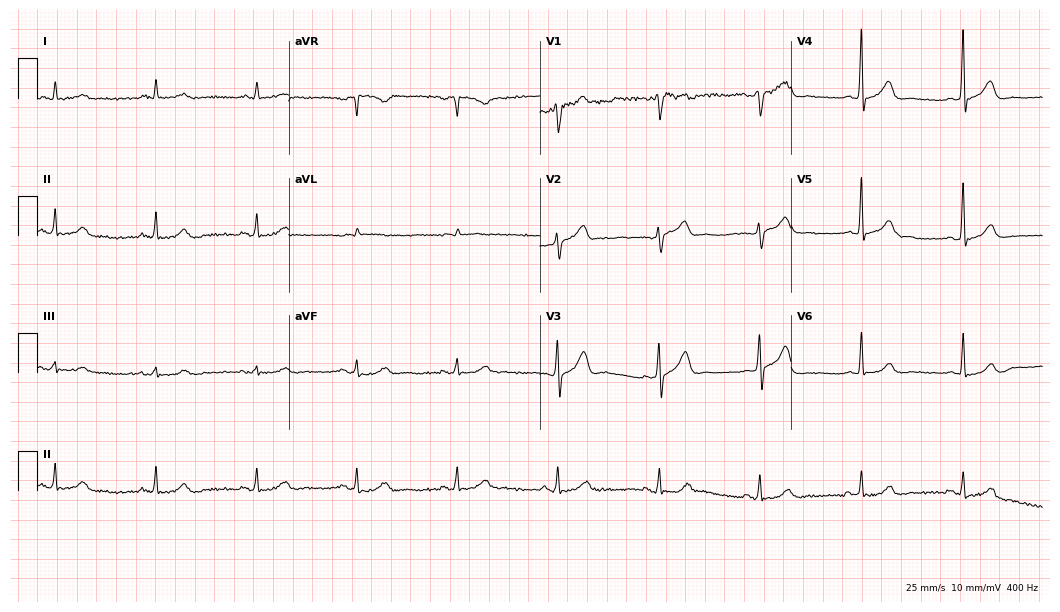
12-lead ECG from a male patient, 63 years old. Recorded interpretation: within normal limits.